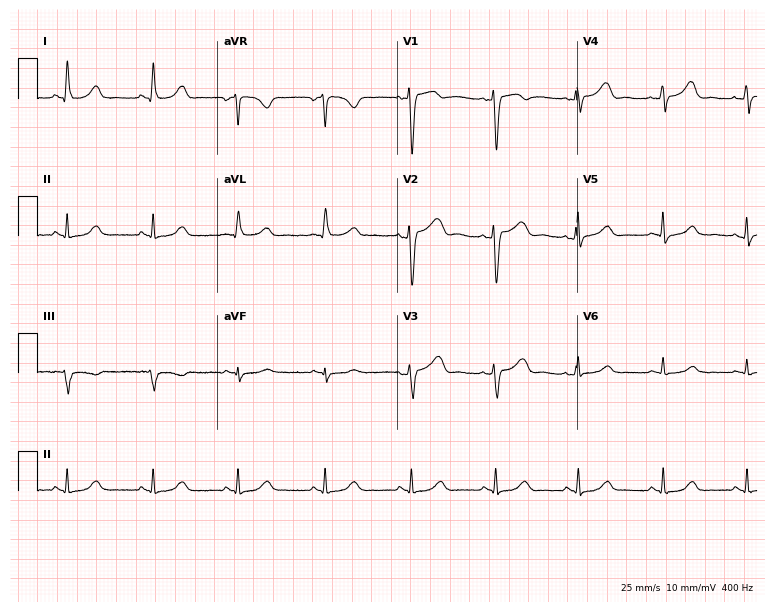
Standard 12-lead ECG recorded from a 48-year-old woman (7.3-second recording at 400 Hz). None of these six findings is recorded: first-degree AV block, right bundle branch block (RBBB), left bundle branch block (LBBB), sinus bradycardia, atrial fibrillation (AF), sinus tachycardia. Only these six findings were labelled.